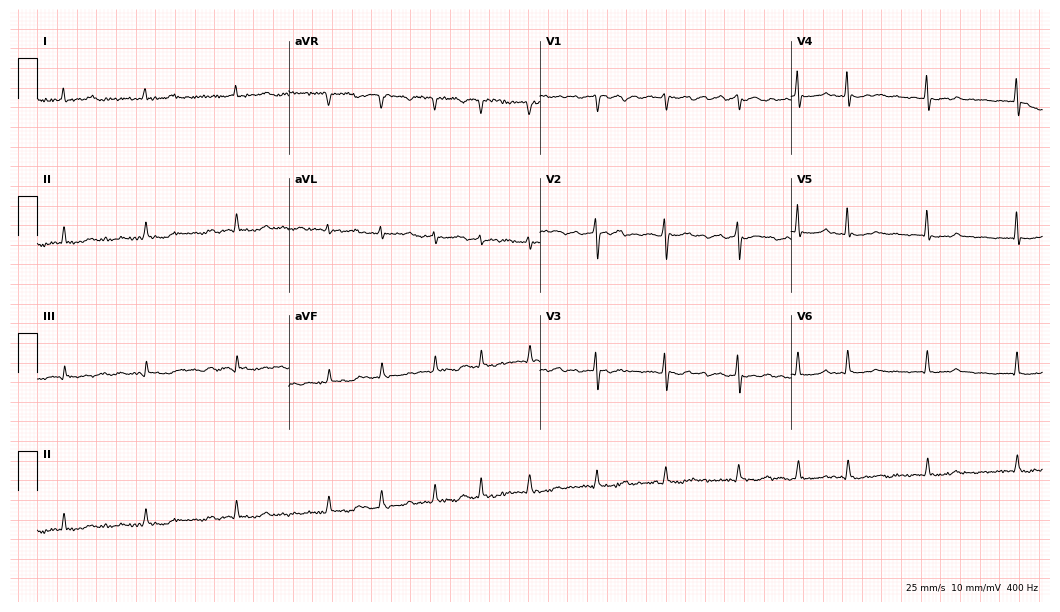
ECG (10.2-second recording at 400 Hz) — an 82-year-old female. Findings include atrial fibrillation.